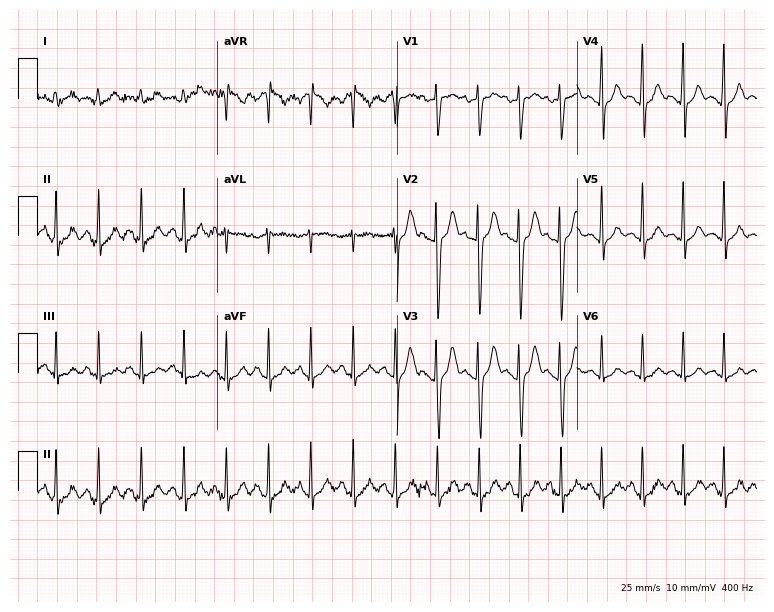
ECG (7.3-second recording at 400 Hz) — a female, 30 years old. Findings include sinus tachycardia (a sinus rate of 100 beats per minute or more).